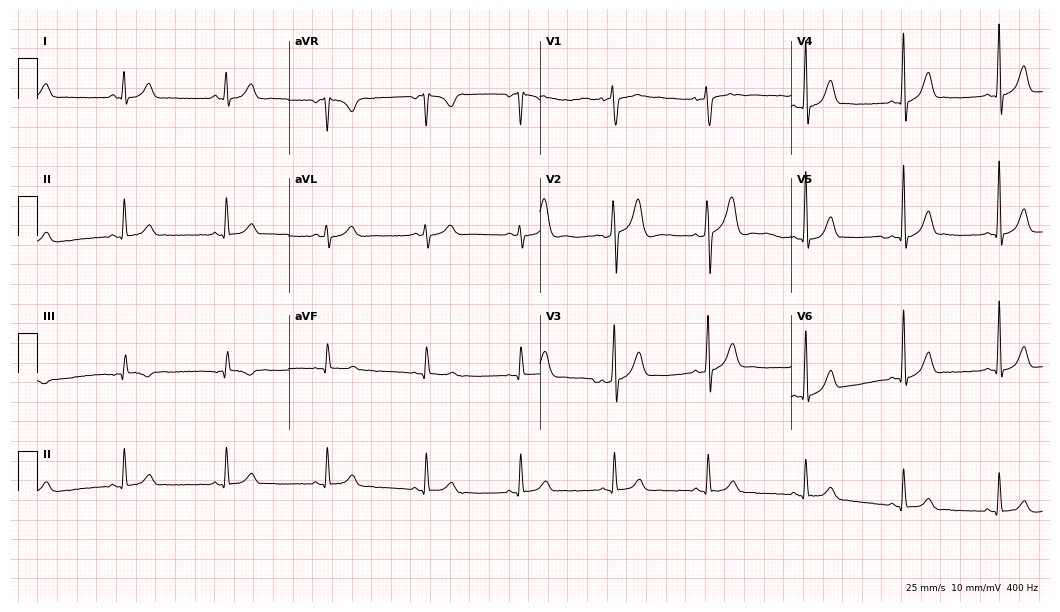
ECG — a 34-year-old male patient. Screened for six findings — first-degree AV block, right bundle branch block, left bundle branch block, sinus bradycardia, atrial fibrillation, sinus tachycardia — none is recorded. Other findings, if any, are not listed.